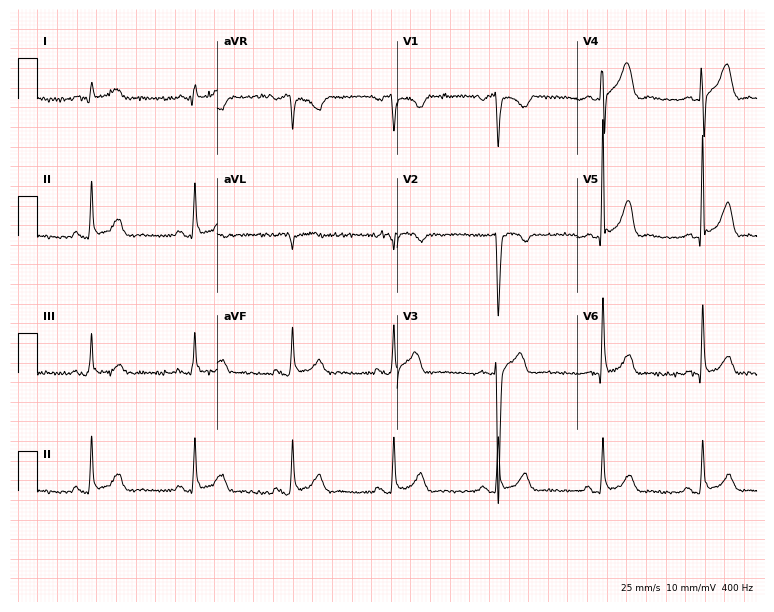
Electrocardiogram (7.3-second recording at 400 Hz), a male patient, 38 years old. Overall reading on record: normal ECG.